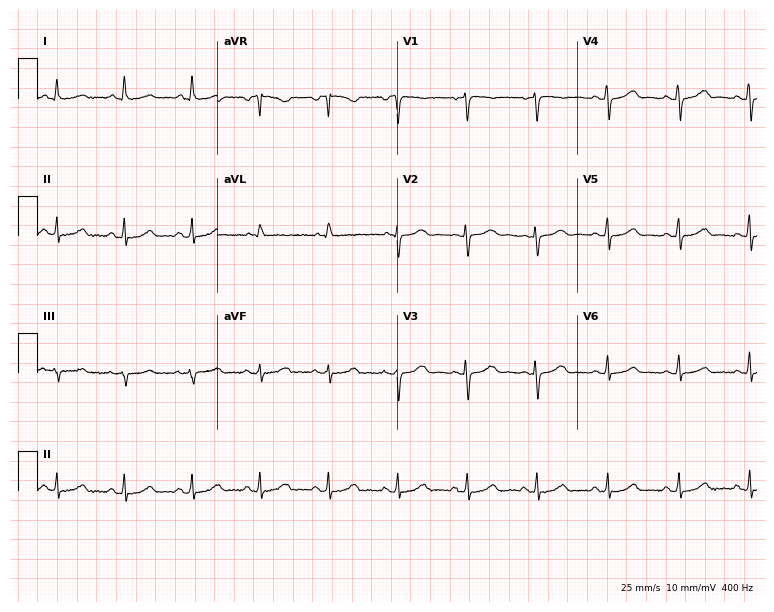
Resting 12-lead electrocardiogram. Patient: a 43-year-old woman. None of these six findings is recorded: first-degree AV block, right bundle branch block, left bundle branch block, sinus bradycardia, atrial fibrillation, sinus tachycardia.